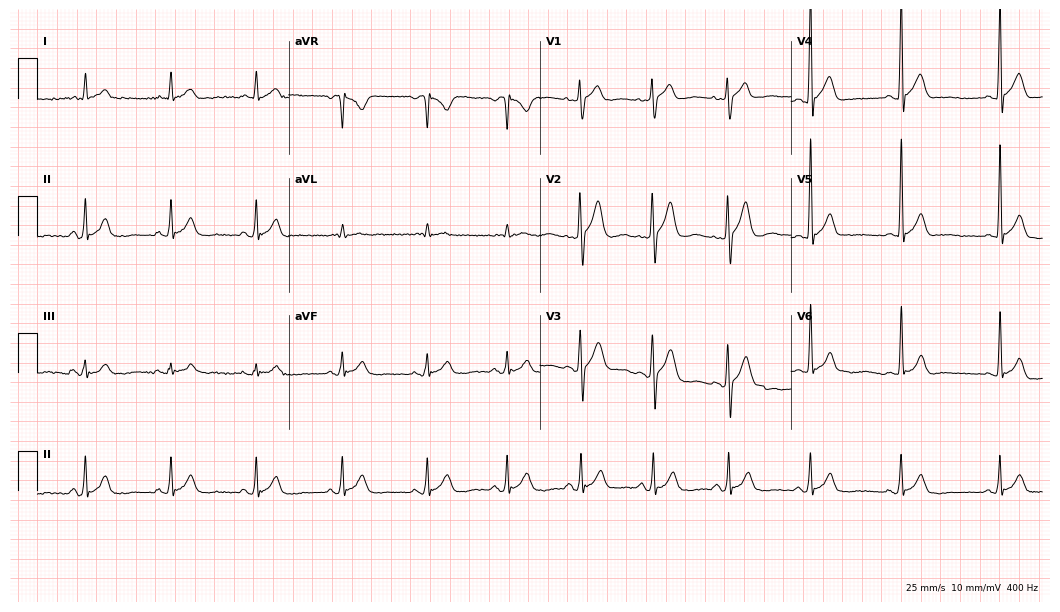
Standard 12-lead ECG recorded from a female patient, 54 years old (10.2-second recording at 400 Hz). Read as a normal ECG.